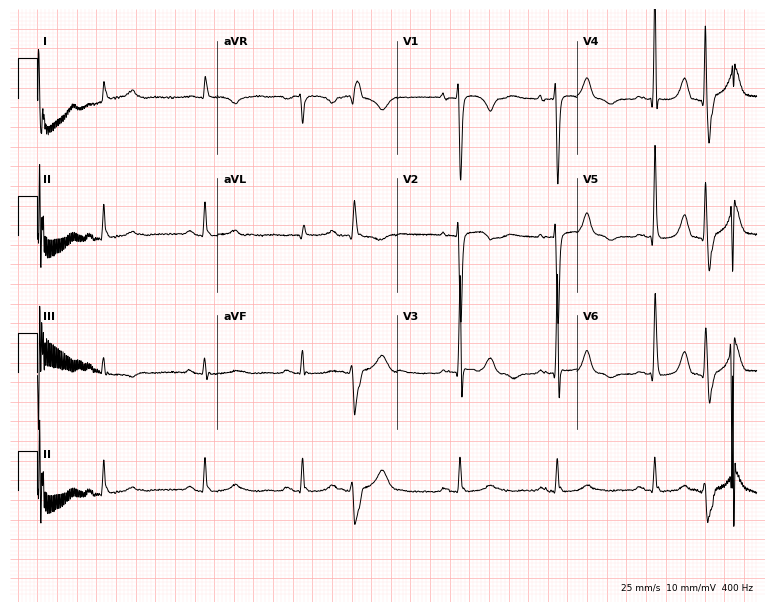
Resting 12-lead electrocardiogram. Patient: a male, 84 years old. None of these six findings is recorded: first-degree AV block, right bundle branch block, left bundle branch block, sinus bradycardia, atrial fibrillation, sinus tachycardia. Findings outside these six are not listed.